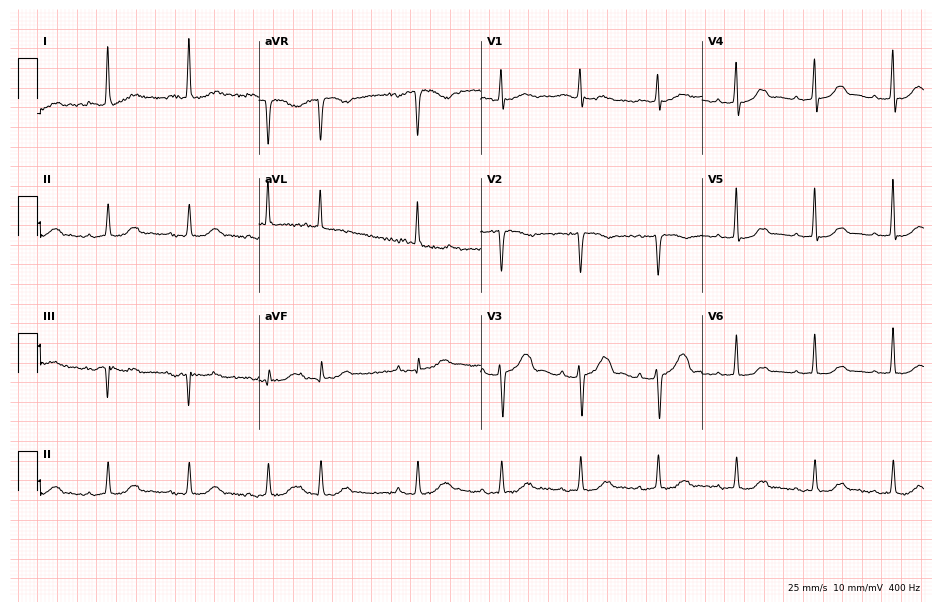
12-lead ECG from a woman, 79 years old. No first-degree AV block, right bundle branch block, left bundle branch block, sinus bradycardia, atrial fibrillation or sinus tachycardia recorded for this tracing.